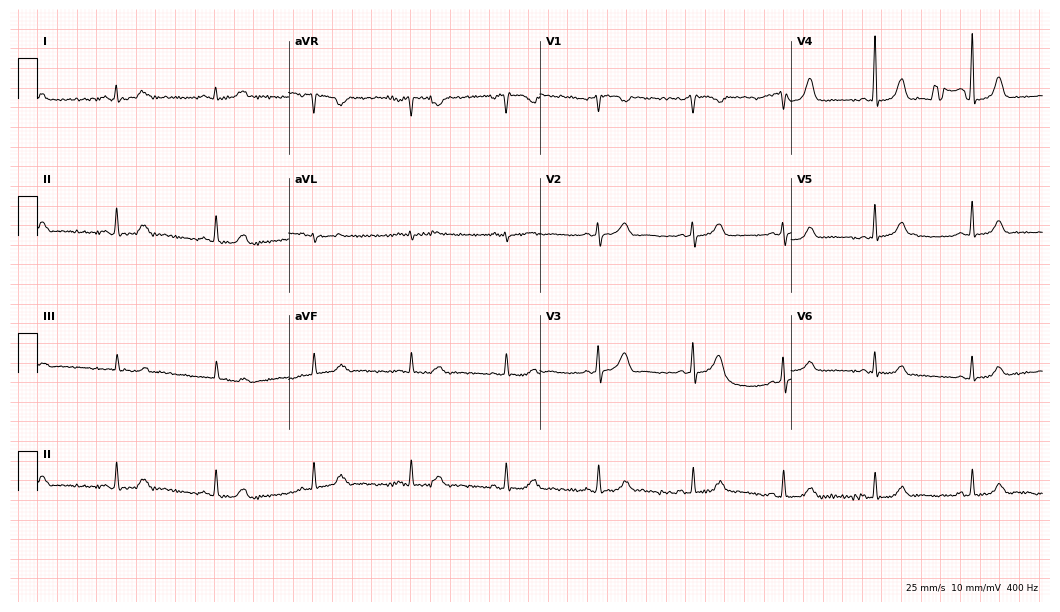
Resting 12-lead electrocardiogram (10.2-second recording at 400 Hz). Patient: a 43-year-old female. Read as a normal ECG.